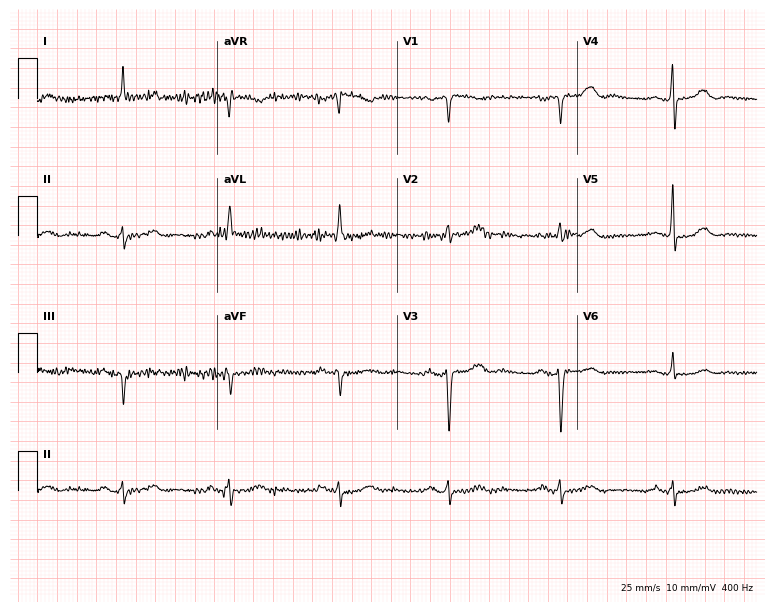
Electrocardiogram (7.3-second recording at 400 Hz), a 79-year-old female patient. Of the six screened findings (first-degree AV block, right bundle branch block (RBBB), left bundle branch block (LBBB), sinus bradycardia, atrial fibrillation (AF), sinus tachycardia), none is recorded.